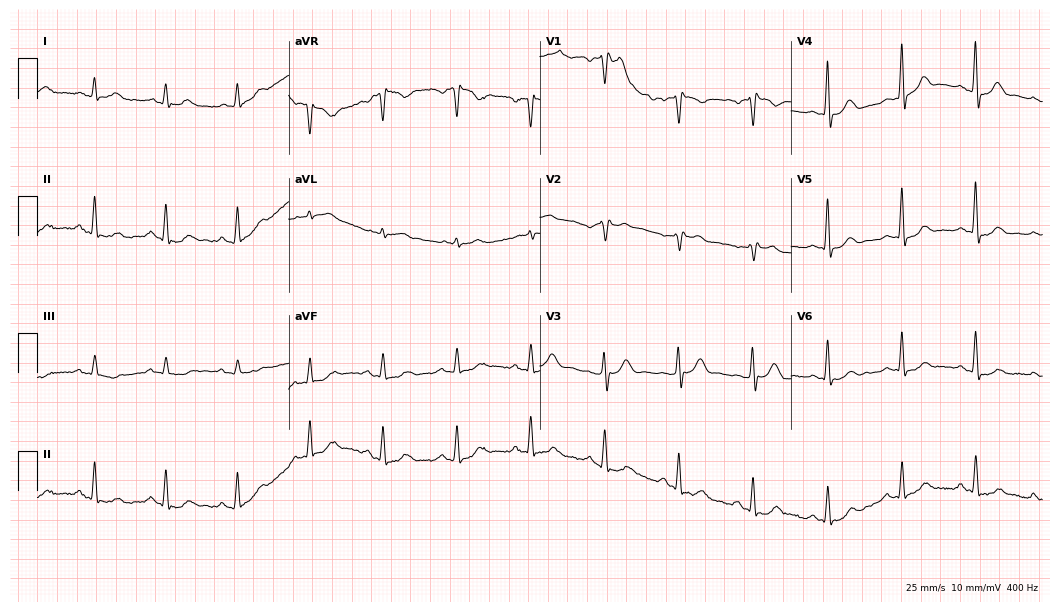
12-lead ECG from a man, 59 years old (10.2-second recording at 400 Hz). Recorded interpretation: within normal limits.